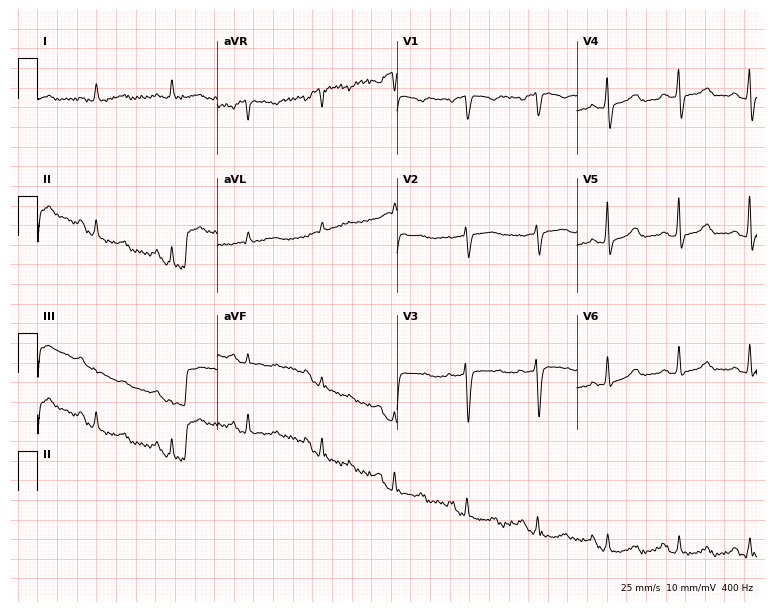
Electrocardiogram, a female, 63 years old. Of the six screened findings (first-degree AV block, right bundle branch block, left bundle branch block, sinus bradycardia, atrial fibrillation, sinus tachycardia), none is recorded.